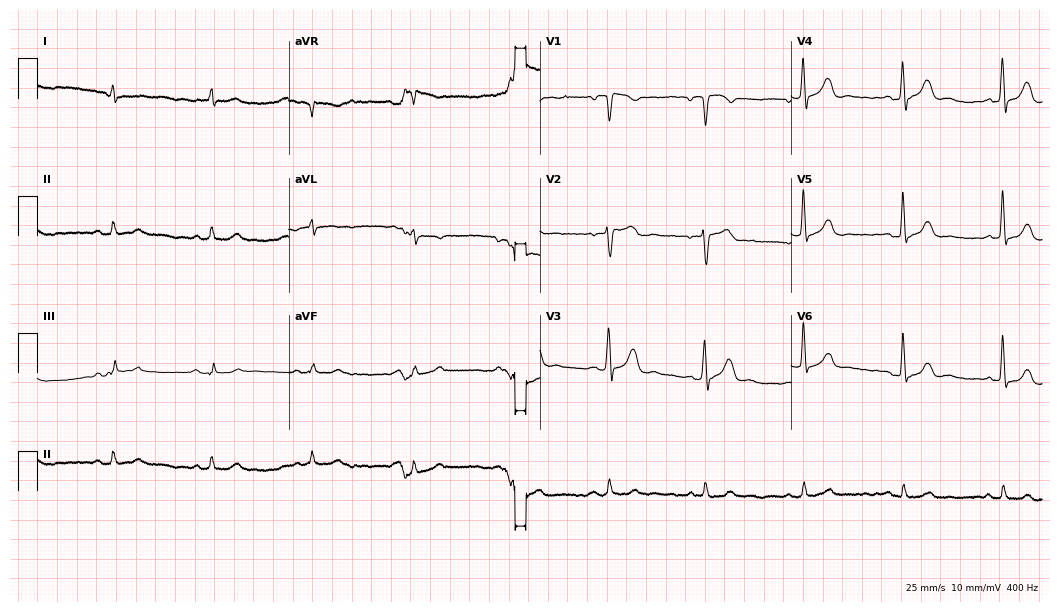
ECG — a 61-year-old male patient. Screened for six findings — first-degree AV block, right bundle branch block, left bundle branch block, sinus bradycardia, atrial fibrillation, sinus tachycardia — none is recorded. Findings outside these six are not listed.